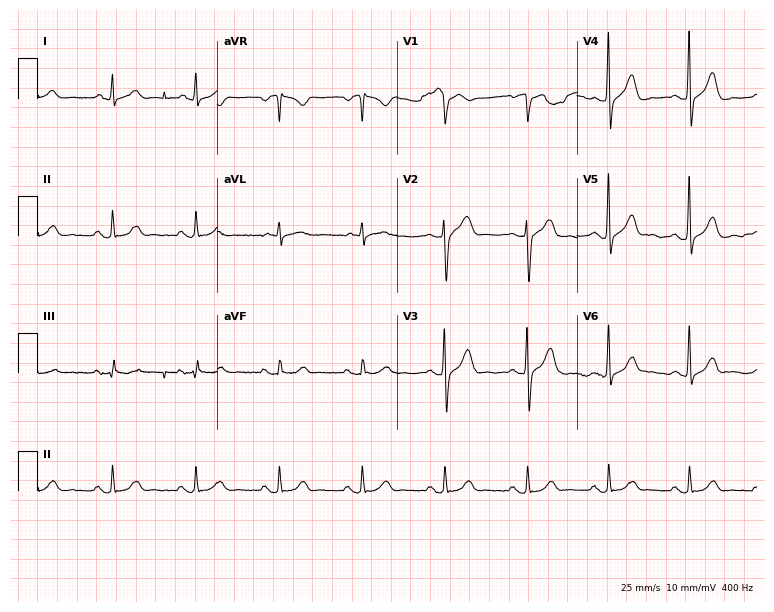
ECG — a 54-year-old male patient. Labelled as a normal ECG.